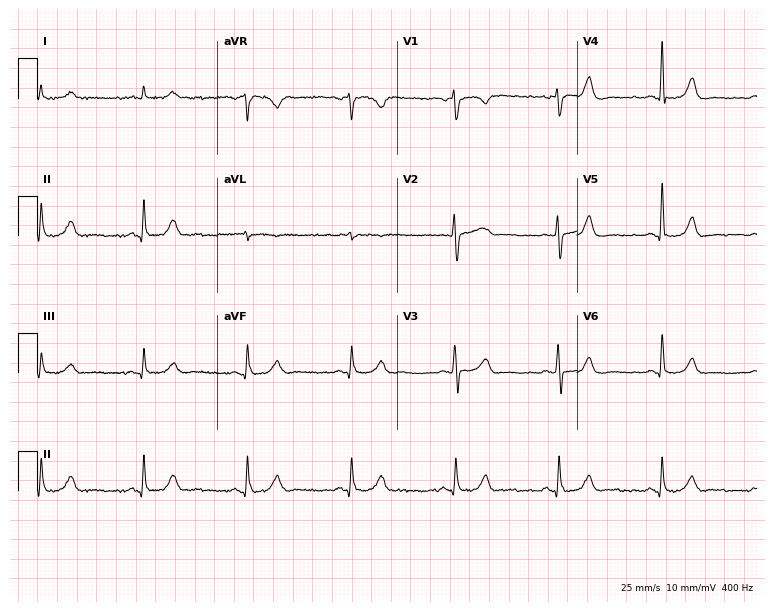
Resting 12-lead electrocardiogram (7.3-second recording at 400 Hz). Patient: a male, 68 years old. Read as a normal ECG.